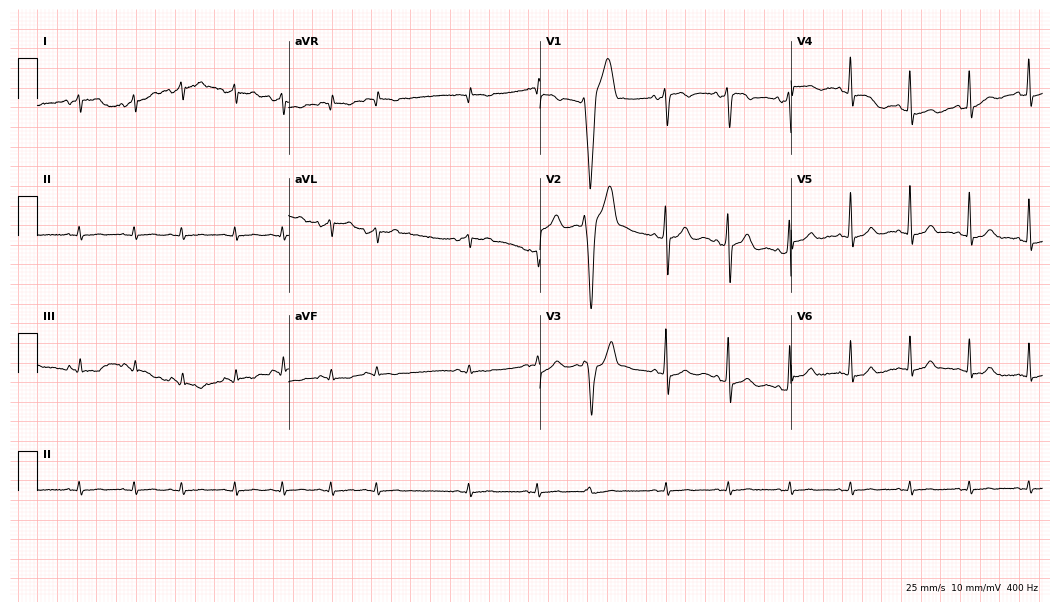
12-lead ECG (10.2-second recording at 400 Hz) from a 72-year-old female. Screened for six findings — first-degree AV block, right bundle branch block (RBBB), left bundle branch block (LBBB), sinus bradycardia, atrial fibrillation (AF), sinus tachycardia — none is recorded. Other findings, if any, are not listed.